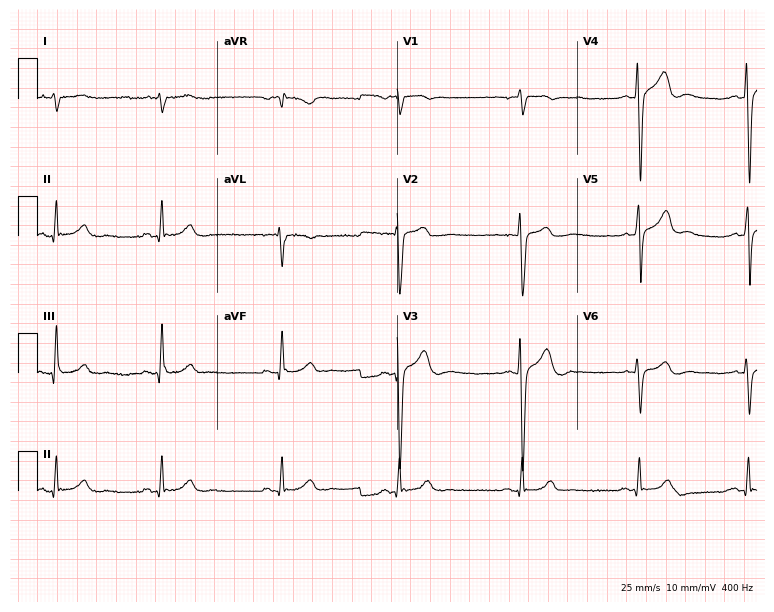
ECG (7.3-second recording at 400 Hz) — a 28-year-old male. Screened for six findings — first-degree AV block, right bundle branch block, left bundle branch block, sinus bradycardia, atrial fibrillation, sinus tachycardia — none is recorded. Only these six findings were labelled.